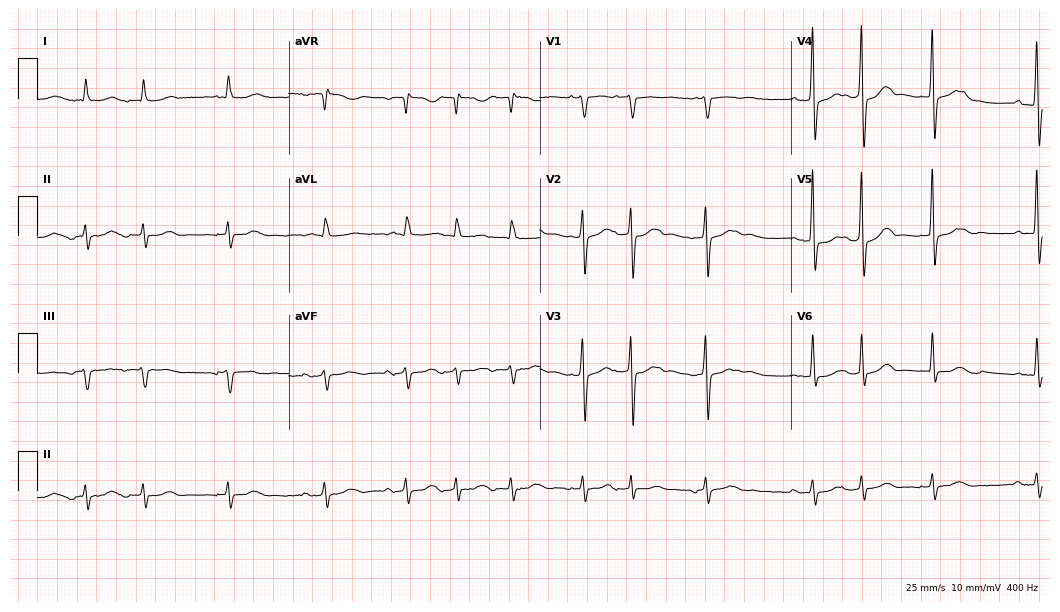
Electrocardiogram, an 81-year-old man. Of the six screened findings (first-degree AV block, right bundle branch block, left bundle branch block, sinus bradycardia, atrial fibrillation, sinus tachycardia), none is recorded. Other findings, if any, are not listed.